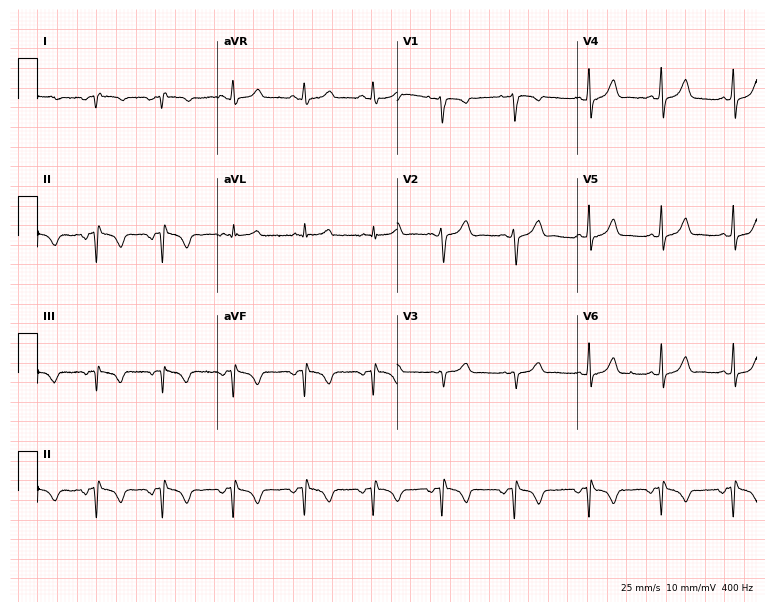
ECG (7.3-second recording at 400 Hz) — a female patient, 41 years old. Screened for six findings — first-degree AV block, right bundle branch block, left bundle branch block, sinus bradycardia, atrial fibrillation, sinus tachycardia — none is recorded.